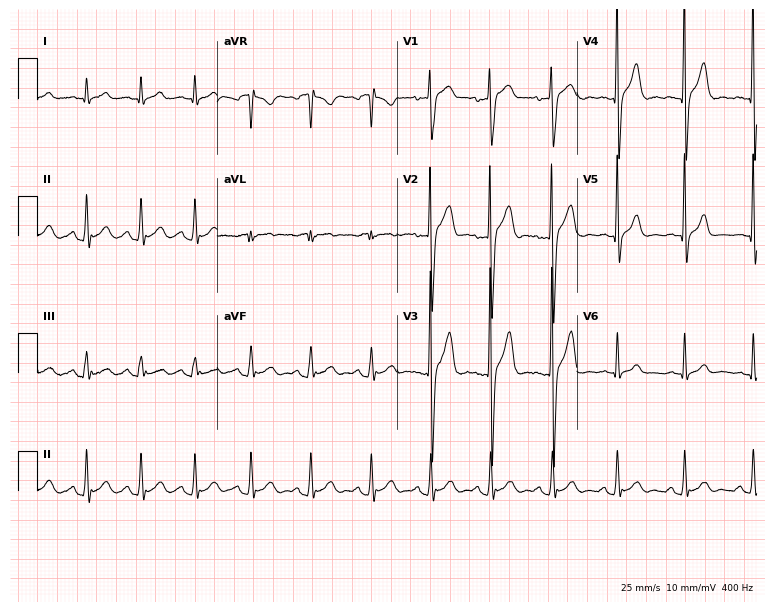
ECG (7.3-second recording at 400 Hz) — a male patient, 28 years old. Screened for six findings — first-degree AV block, right bundle branch block (RBBB), left bundle branch block (LBBB), sinus bradycardia, atrial fibrillation (AF), sinus tachycardia — none is recorded. Findings outside these six are not listed.